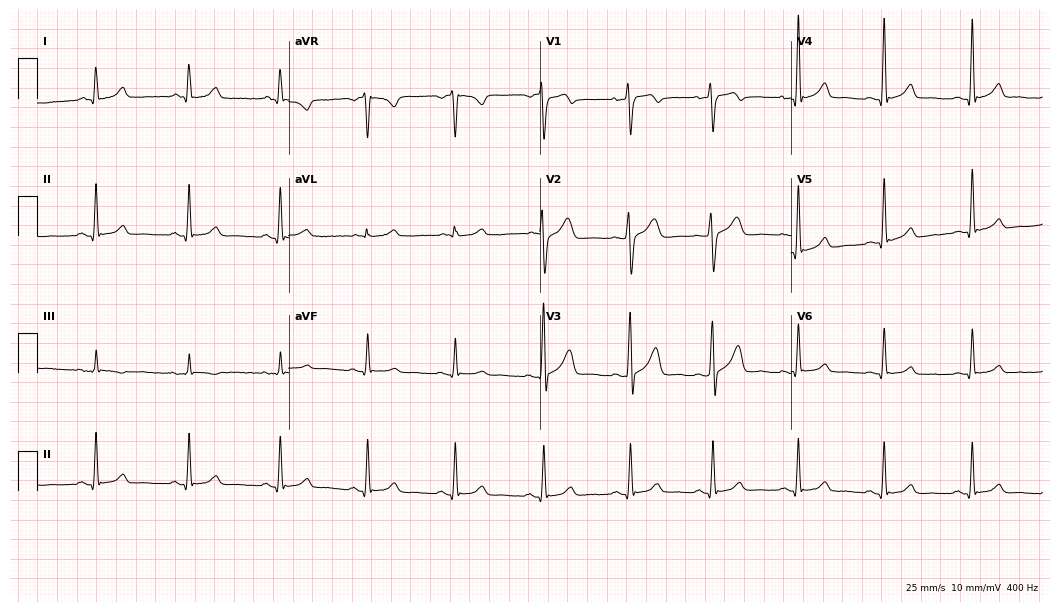
12-lead ECG from a male patient, 33 years old. Recorded interpretation: within normal limits.